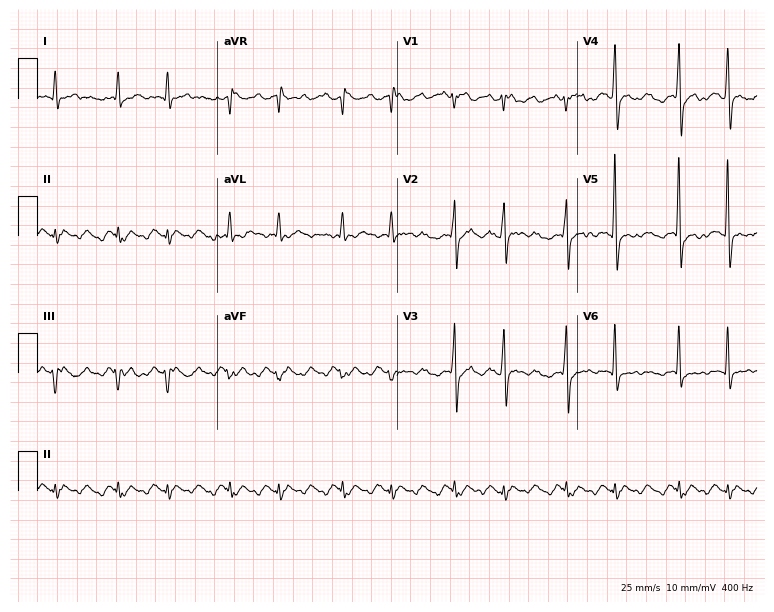
12-lead ECG from an 18-year-old male patient (7.3-second recording at 400 Hz). No first-degree AV block, right bundle branch block, left bundle branch block, sinus bradycardia, atrial fibrillation or sinus tachycardia recorded for this tracing. Findings outside these six are not listed.